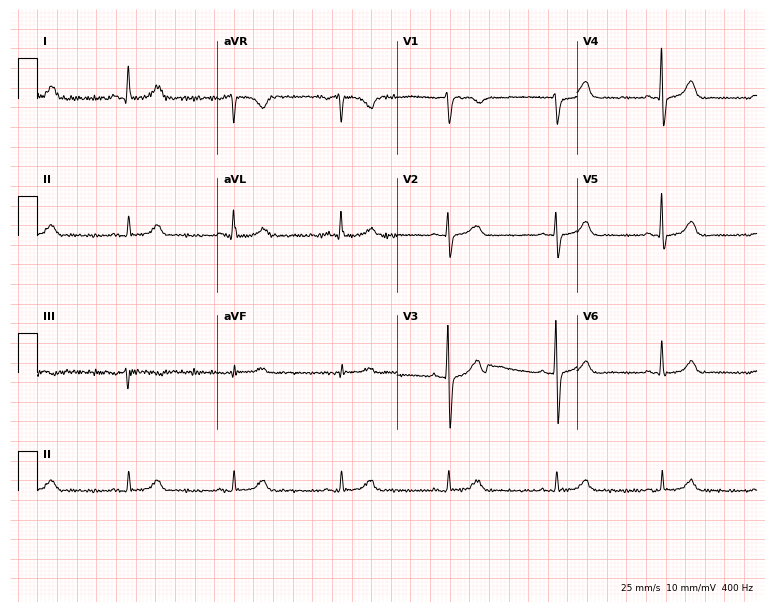
Resting 12-lead electrocardiogram (7.3-second recording at 400 Hz). Patient: a male, 44 years old. Read as a normal ECG.